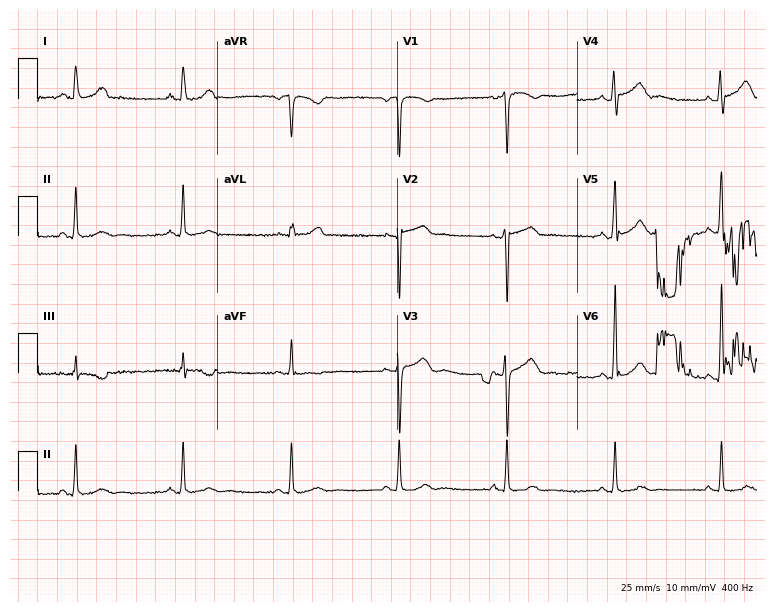
ECG (7.3-second recording at 400 Hz) — a man, 39 years old. Labelled as a normal ECG.